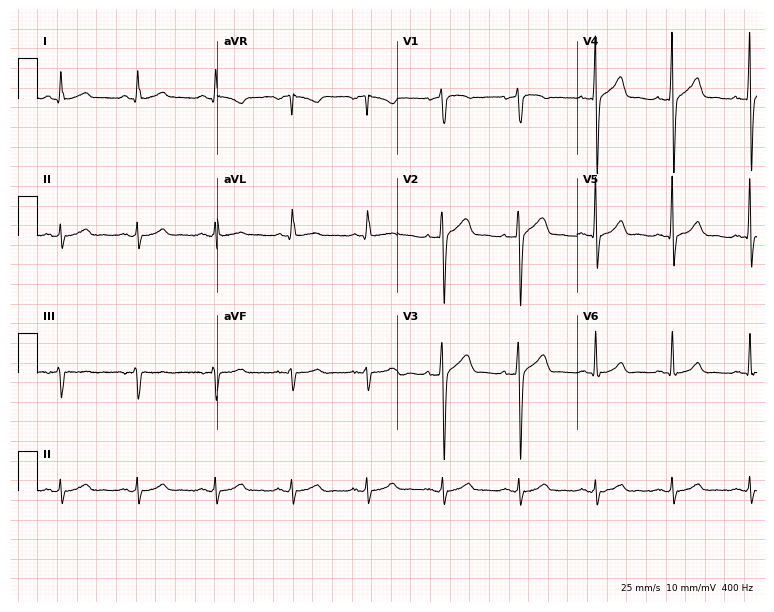
Electrocardiogram (7.3-second recording at 400 Hz), a male patient, 47 years old. Overall reading on record: normal ECG.